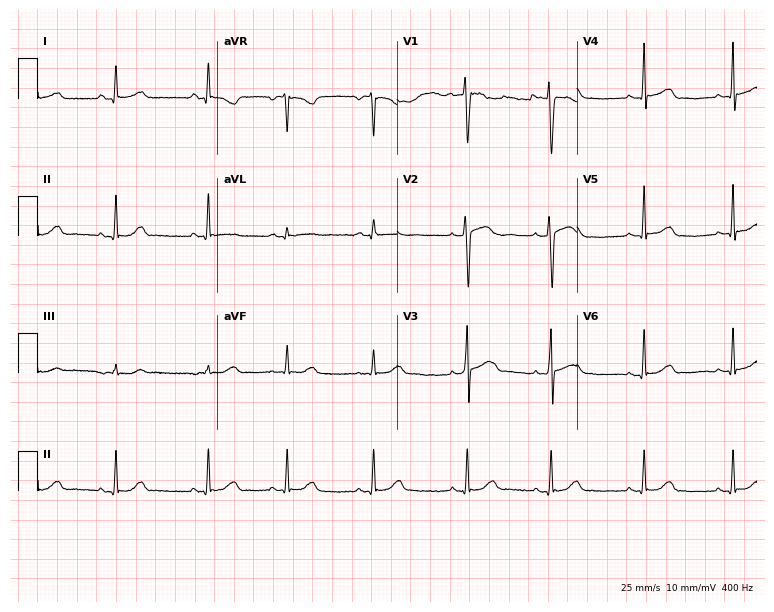
12-lead ECG from a 22-year-old female patient (7.3-second recording at 400 Hz). Recorded interpretation: within normal limits.